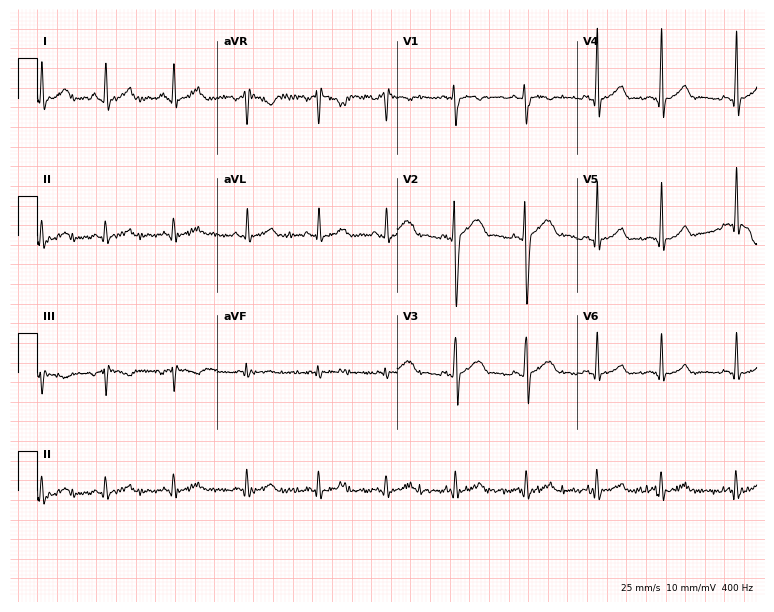
12-lead ECG from a woman, 24 years old. No first-degree AV block, right bundle branch block (RBBB), left bundle branch block (LBBB), sinus bradycardia, atrial fibrillation (AF) or sinus tachycardia recorded for this tracing. Findings outside these six are not listed.